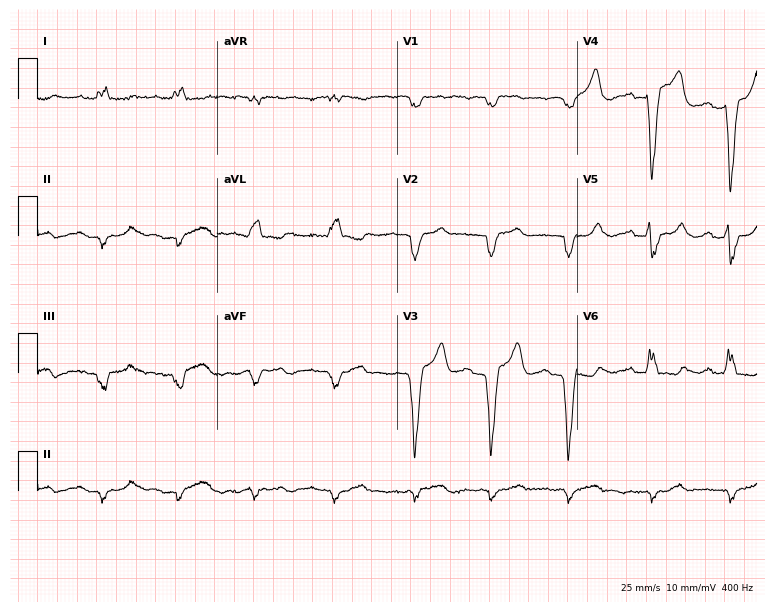
12-lead ECG from a female, 77 years old. Shows left bundle branch block.